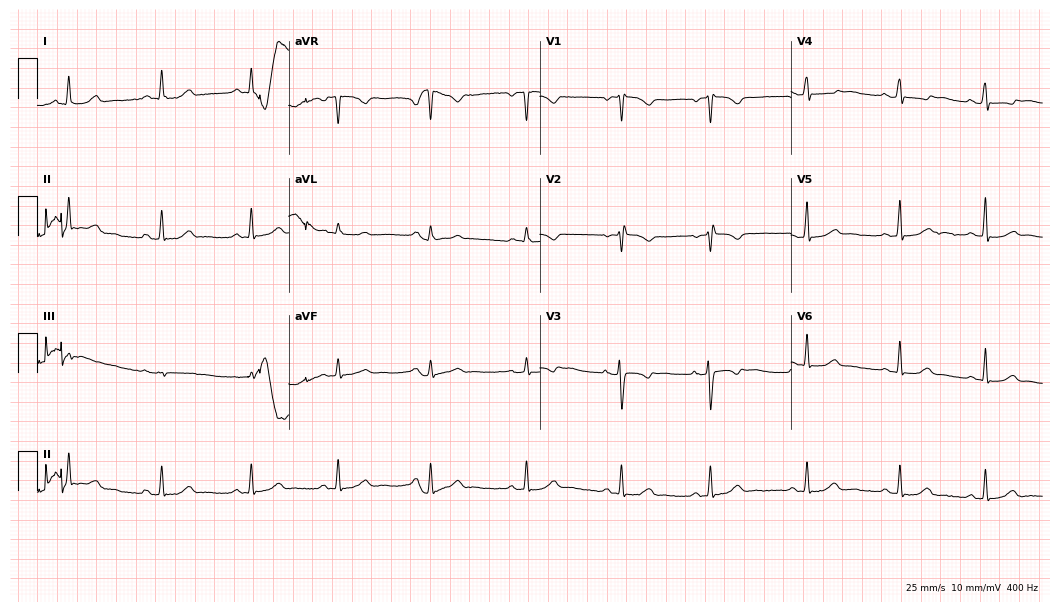
ECG — a 38-year-old female. Screened for six findings — first-degree AV block, right bundle branch block (RBBB), left bundle branch block (LBBB), sinus bradycardia, atrial fibrillation (AF), sinus tachycardia — none is recorded. Other findings, if any, are not listed.